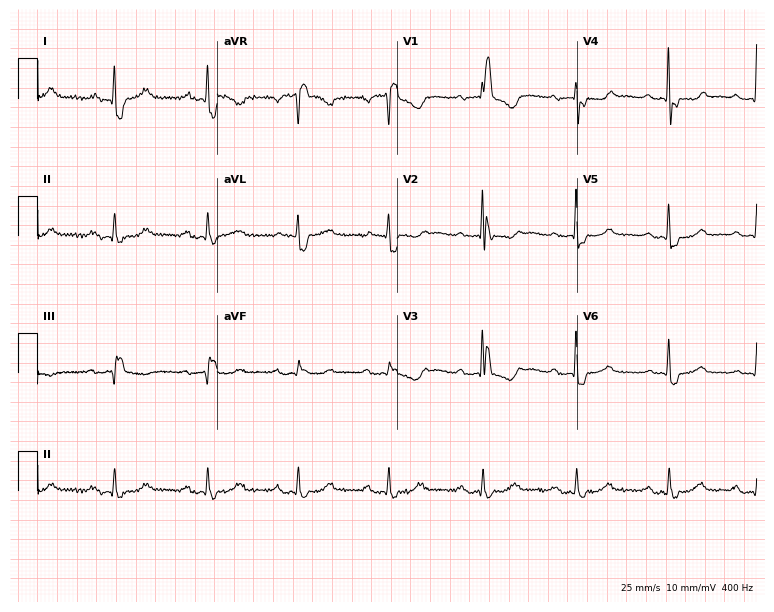
ECG (7.3-second recording at 400 Hz) — a female, 72 years old. Findings include first-degree AV block, right bundle branch block (RBBB).